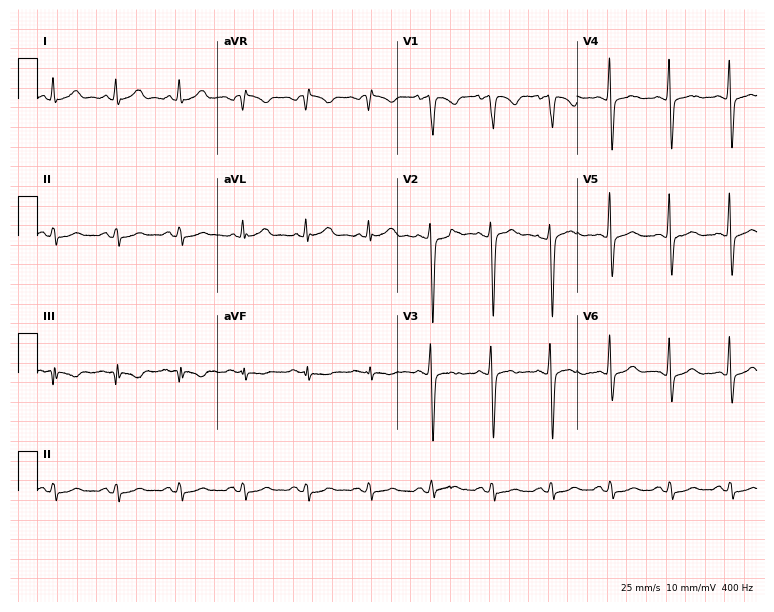
ECG — a 41-year-old female patient. Labelled as a normal ECG.